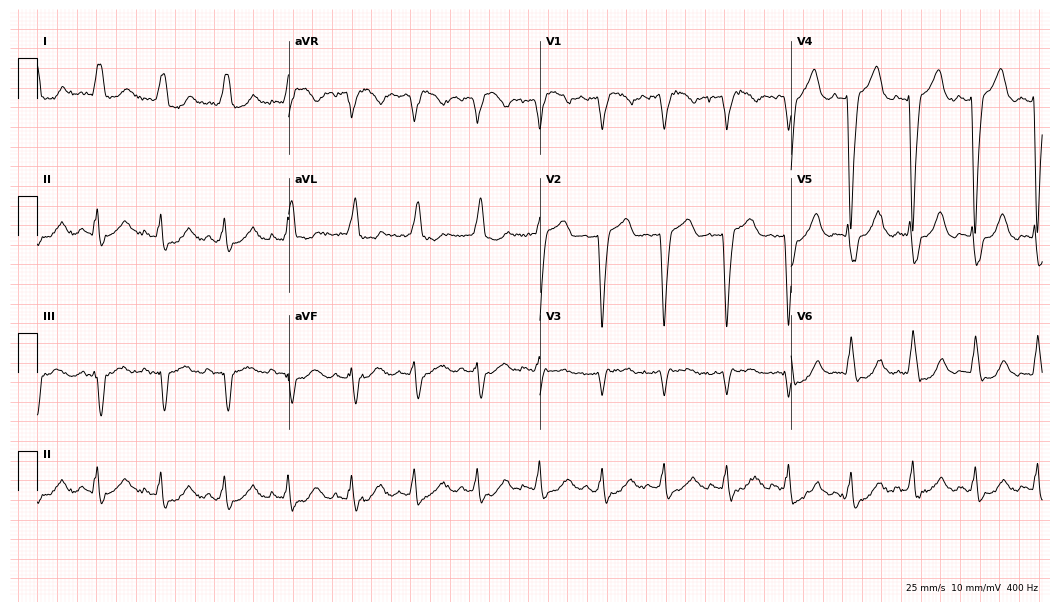
12-lead ECG from a 62-year-old female. Findings include left bundle branch block.